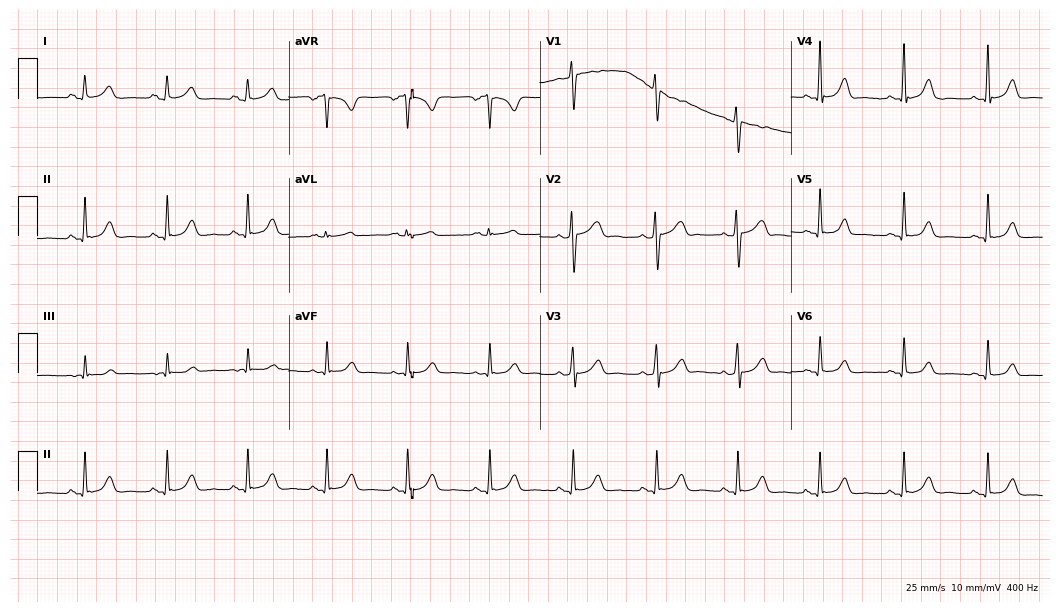
Resting 12-lead electrocardiogram (10.2-second recording at 400 Hz). Patient: a 24-year-old female. Read as a normal ECG.